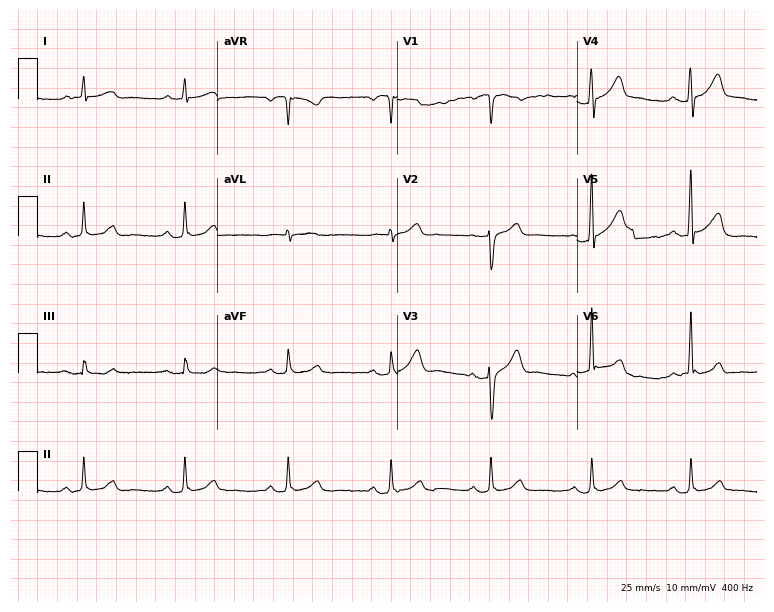
Electrocardiogram (7.3-second recording at 400 Hz), a male patient, 58 years old. Overall reading on record: normal ECG.